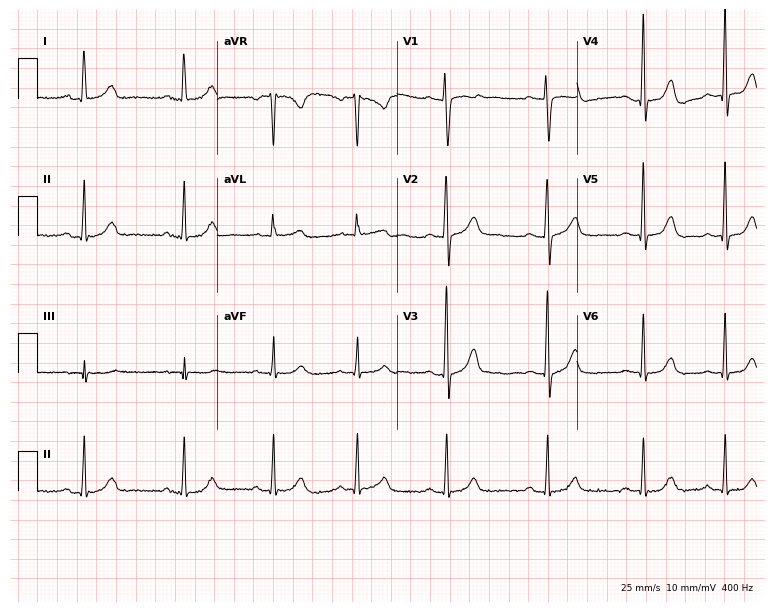
Electrocardiogram, a 24-year-old woman. Overall reading on record: normal ECG.